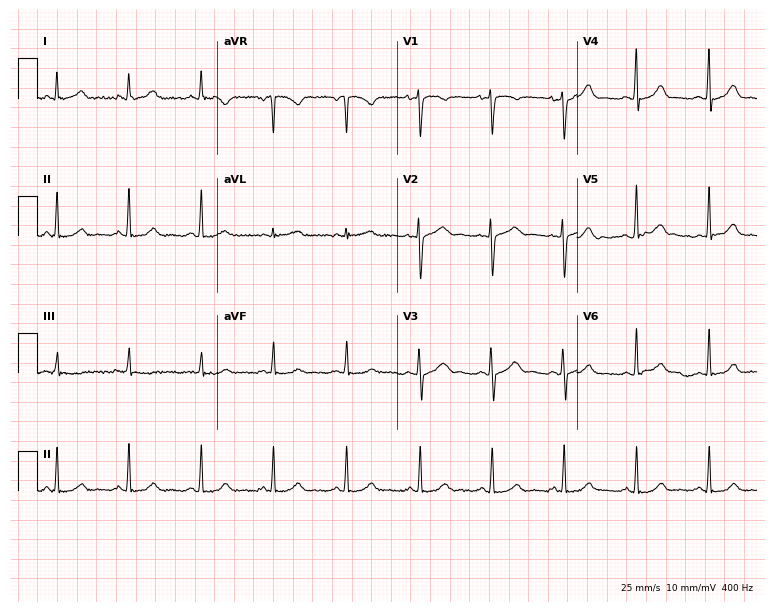
ECG (7.3-second recording at 400 Hz) — a 32-year-old female patient. Screened for six findings — first-degree AV block, right bundle branch block (RBBB), left bundle branch block (LBBB), sinus bradycardia, atrial fibrillation (AF), sinus tachycardia — none is recorded. Only these six findings were labelled.